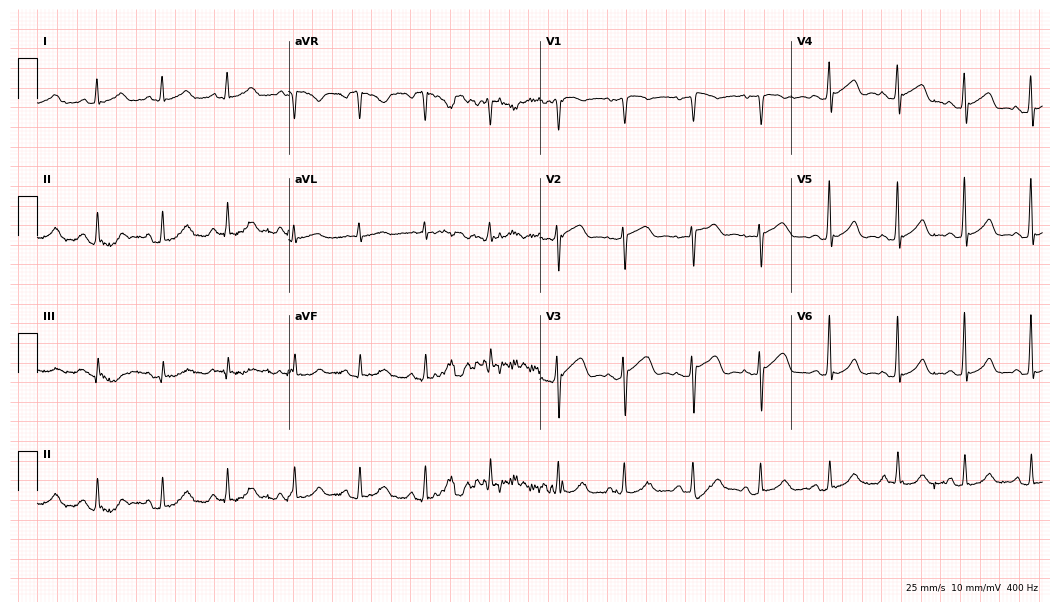
Resting 12-lead electrocardiogram. Patient: a male, 60 years old. Read as a normal ECG.